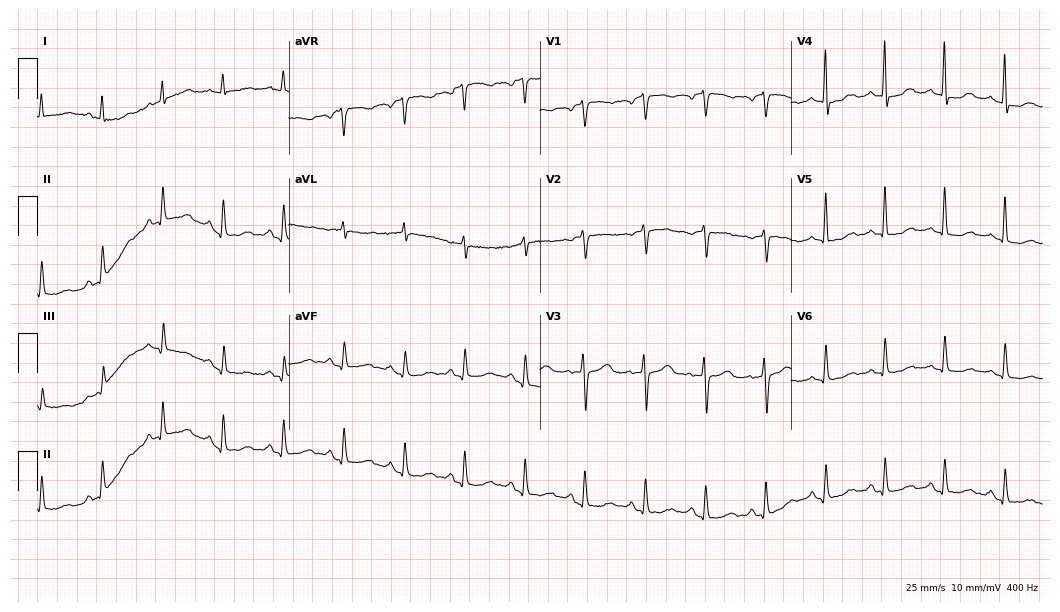
12-lead ECG from a female, 59 years old (10.2-second recording at 400 Hz). No first-degree AV block, right bundle branch block (RBBB), left bundle branch block (LBBB), sinus bradycardia, atrial fibrillation (AF) or sinus tachycardia recorded for this tracing.